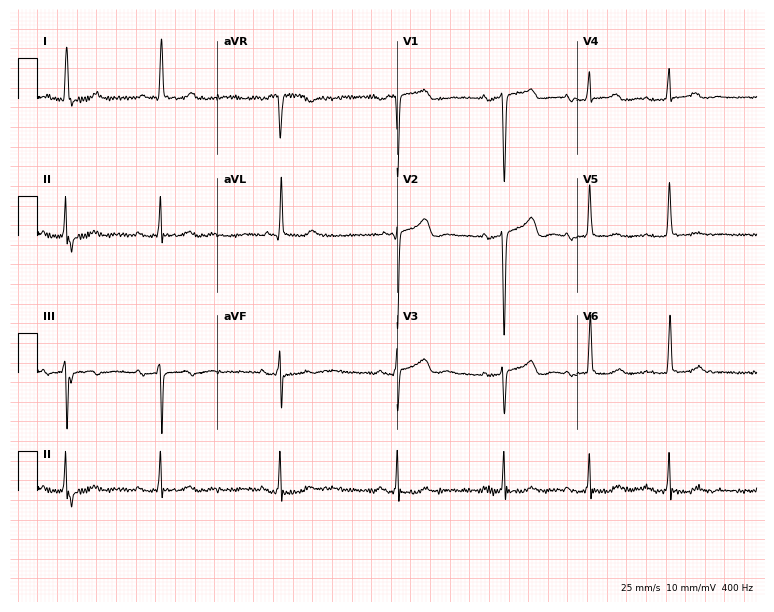
Electrocardiogram (7.3-second recording at 400 Hz), a female, 53 years old. Of the six screened findings (first-degree AV block, right bundle branch block, left bundle branch block, sinus bradycardia, atrial fibrillation, sinus tachycardia), none is recorded.